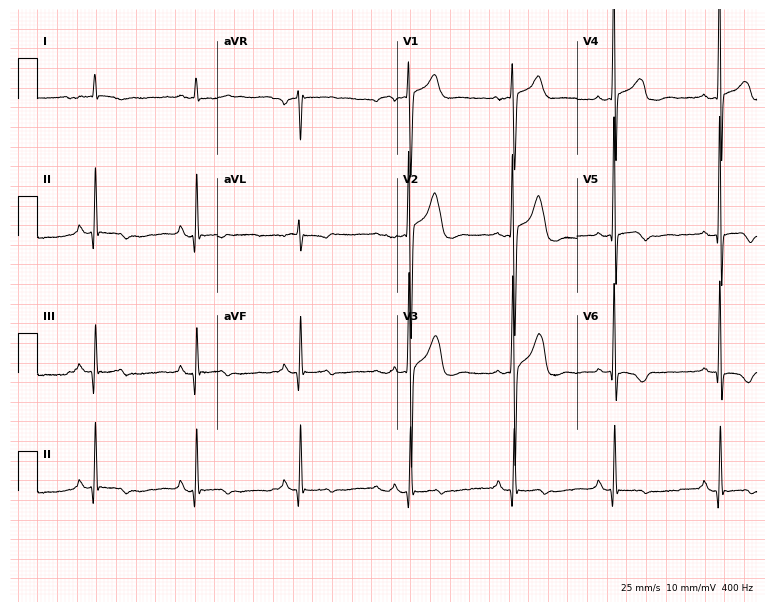
12-lead ECG from a 53-year-old male. Screened for six findings — first-degree AV block, right bundle branch block, left bundle branch block, sinus bradycardia, atrial fibrillation, sinus tachycardia — none is recorded. Findings outside these six are not listed.